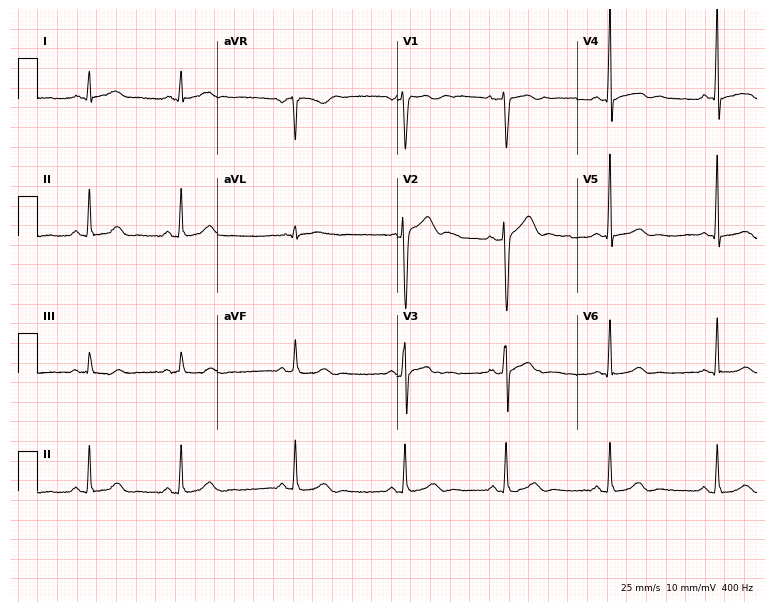
Standard 12-lead ECG recorded from a man, 46 years old (7.3-second recording at 400 Hz). None of these six findings is recorded: first-degree AV block, right bundle branch block, left bundle branch block, sinus bradycardia, atrial fibrillation, sinus tachycardia.